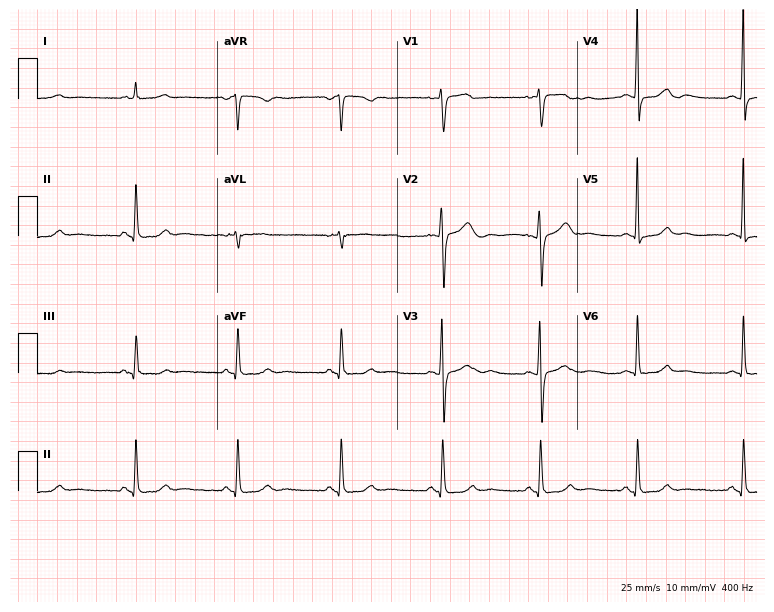
12-lead ECG from a 48-year-old female patient. Labelled as a normal ECG.